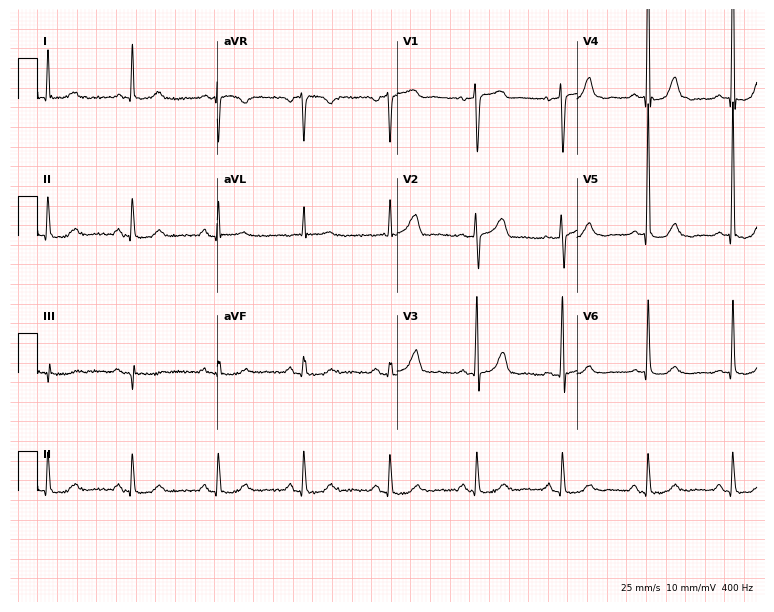
ECG — a male, 76 years old. Screened for six findings — first-degree AV block, right bundle branch block (RBBB), left bundle branch block (LBBB), sinus bradycardia, atrial fibrillation (AF), sinus tachycardia — none is recorded. Other findings, if any, are not listed.